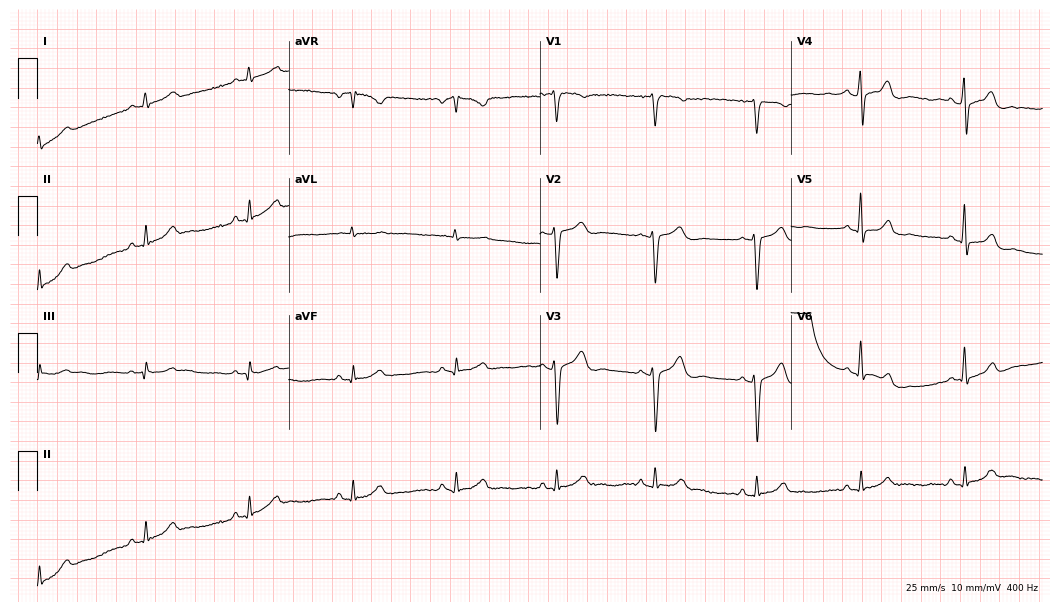
Resting 12-lead electrocardiogram. Patient: a 43-year-old male. Read as a normal ECG.